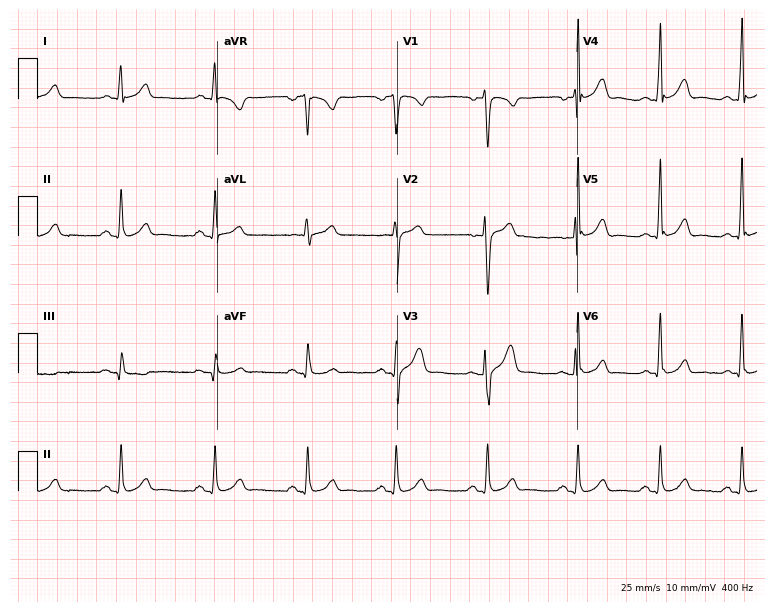
Resting 12-lead electrocardiogram. Patient: a 32-year-old male. Read as a normal ECG.